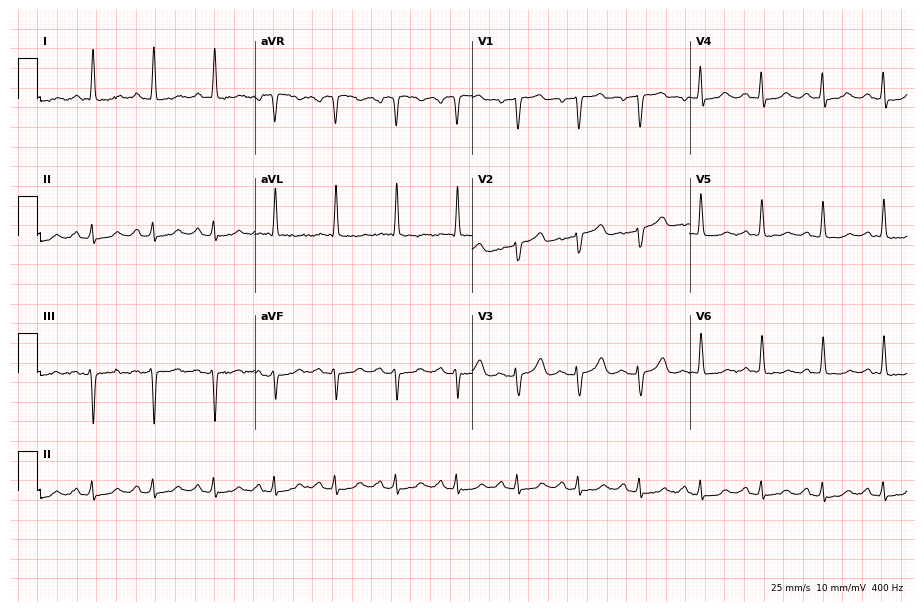
Standard 12-lead ECG recorded from a woman, 80 years old (8.9-second recording at 400 Hz). None of these six findings is recorded: first-degree AV block, right bundle branch block, left bundle branch block, sinus bradycardia, atrial fibrillation, sinus tachycardia.